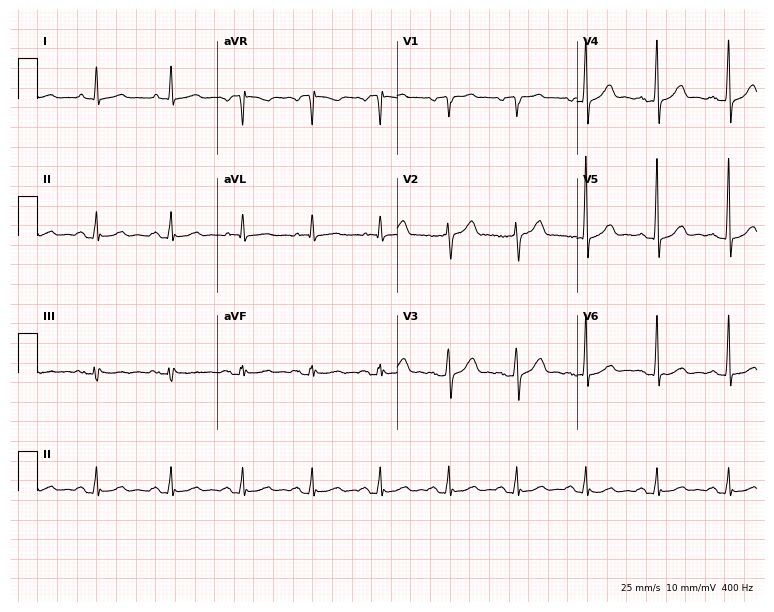
Standard 12-lead ECG recorded from a 57-year-old male patient. Read as a normal ECG.